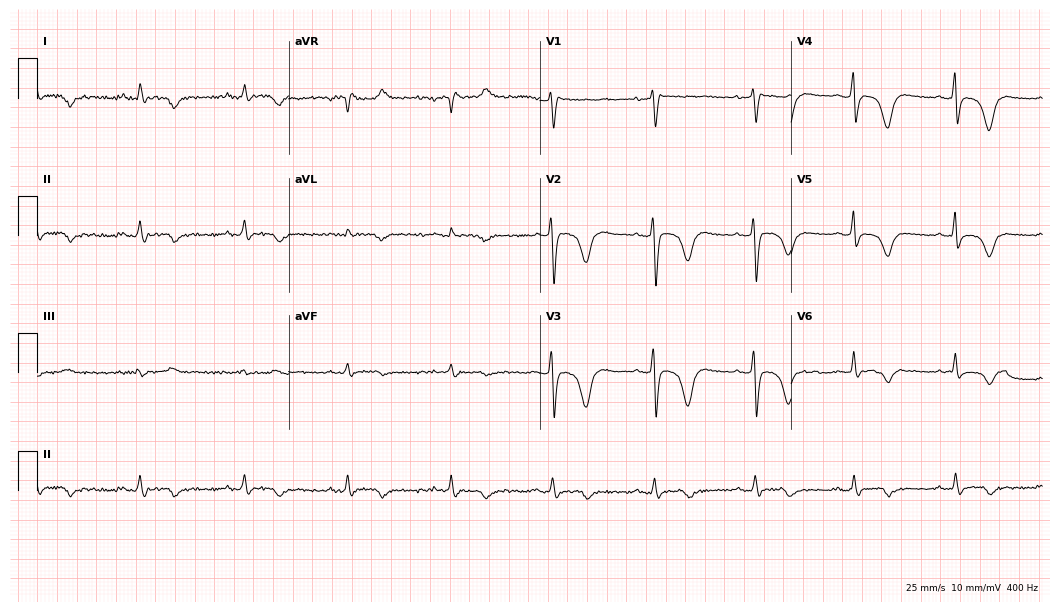
Resting 12-lead electrocardiogram. Patient: an 82-year-old male. None of these six findings is recorded: first-degree AV block, right bundle branch block, left bundle branch block, sinus bradycardia, atrial fibrillation, sinus tachycardia.